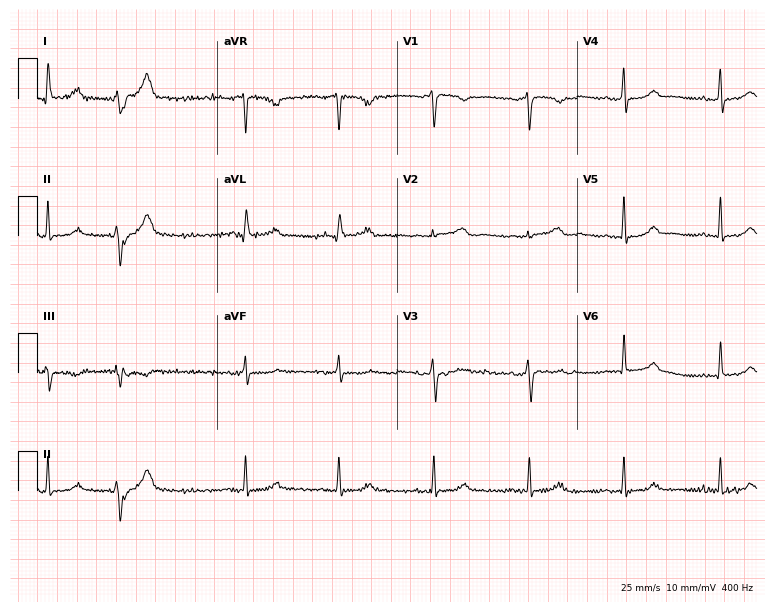
ECG (7.3-second recording at 400 Hz) — a 56-year-old female patient. Screened for six findings — first-degree AV block, right bundle branch block (RBBB), left bundle branch block (LBBB), sinus bradycardia, atrial fibrillation (AF), sinus tachycardia — none is recorded. Only these six findings were labelled.